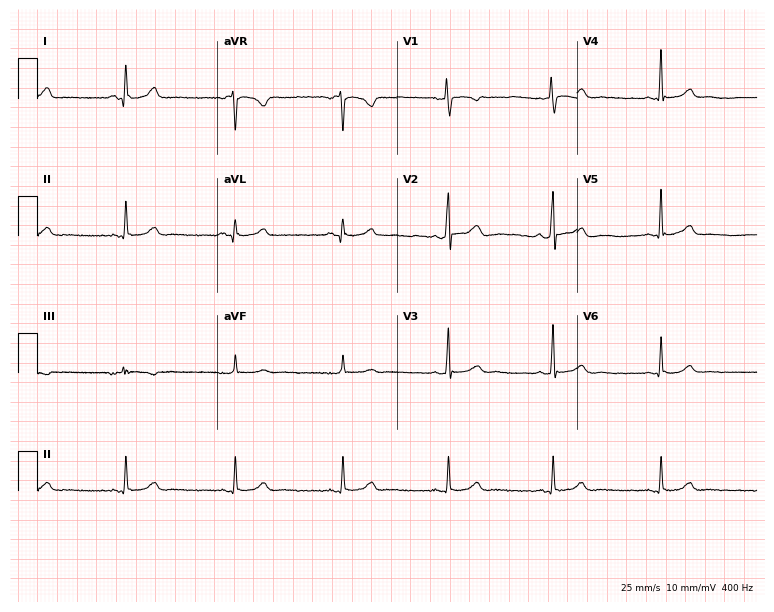
Resting 12-lead electrocardiogram (7.3-second recording at 400 Hz). Patient: a woman, 31 years old. Read as a normal ECG.